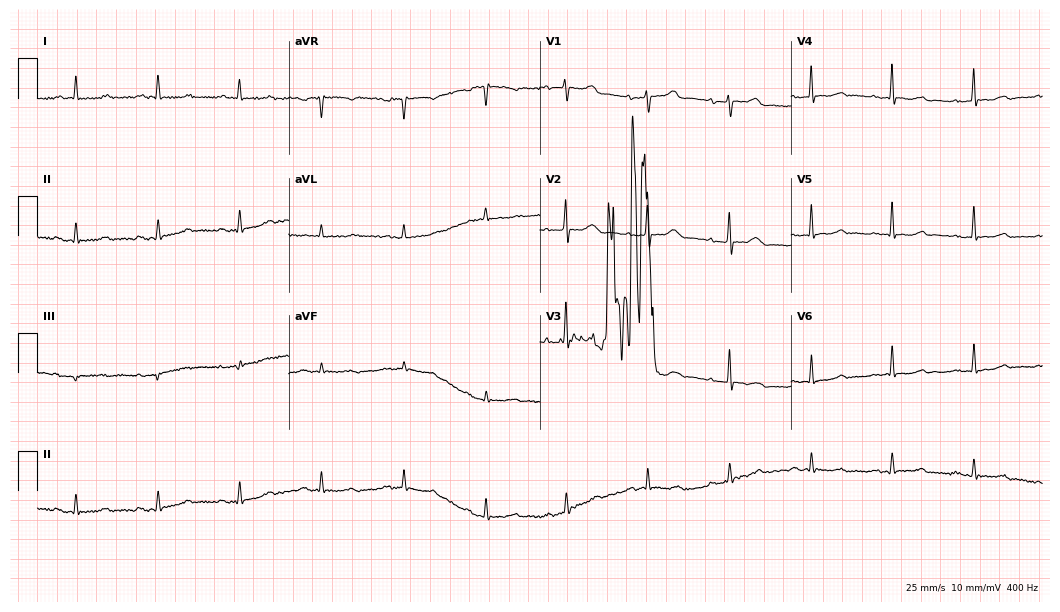
ECG (10.2-second recording at 400 Hz) — a 70-year-old female patient. Screened for six findings — first-degree AV block, right bundle branch block, left bundle branch block, sinus bradycardia, atrial fibrillation, sinus tachycardia — none is recorded. Other findings, if any, are not listed.